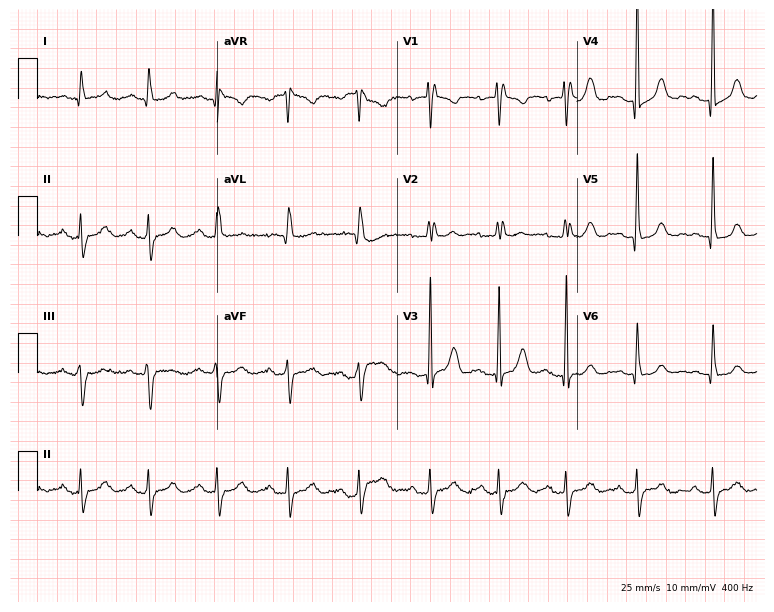
12-lead ECG from a male, 81 years old. Findings include first-degree AV block.